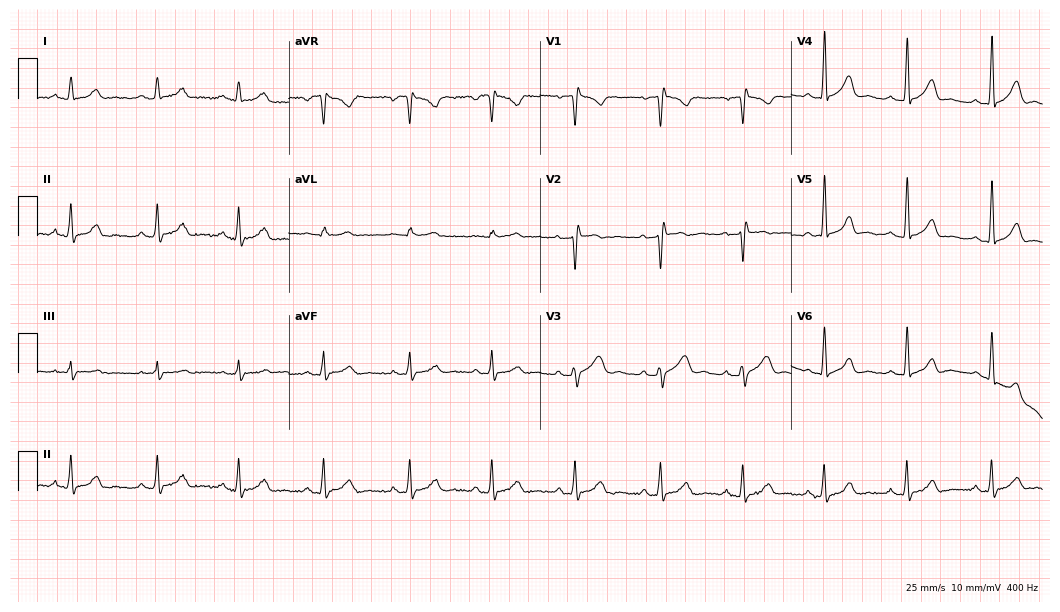
12-lead ECG from a female patient, 34 years old. Recorded interpretation: within normal limits.